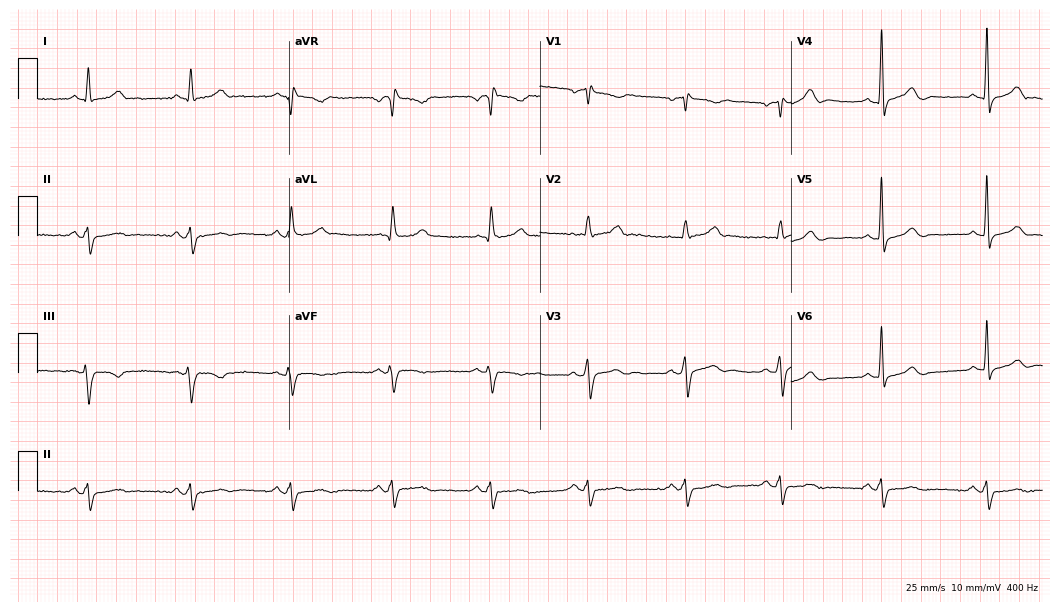
Electrocardiogram (10.2-second recording at 400 Hz), a male, 73 years old. Of the six screened findings (first-degree AV block, right bundle branch block (RBBB), left bundle branch block (LBBB), sinus bradycardia, atrial fibrillation (AF), sinus tachycardia), none is recorded.